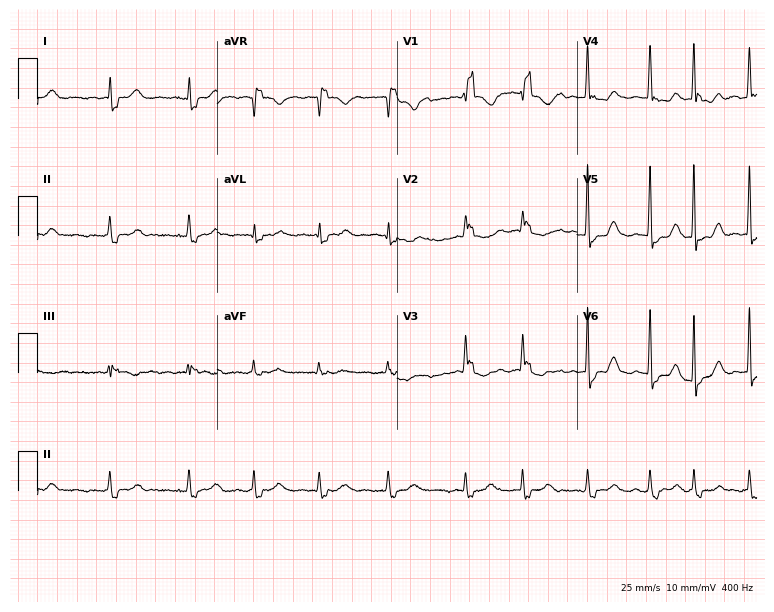
ECG — a female, 72 years old. Findings include right bundle branch block.